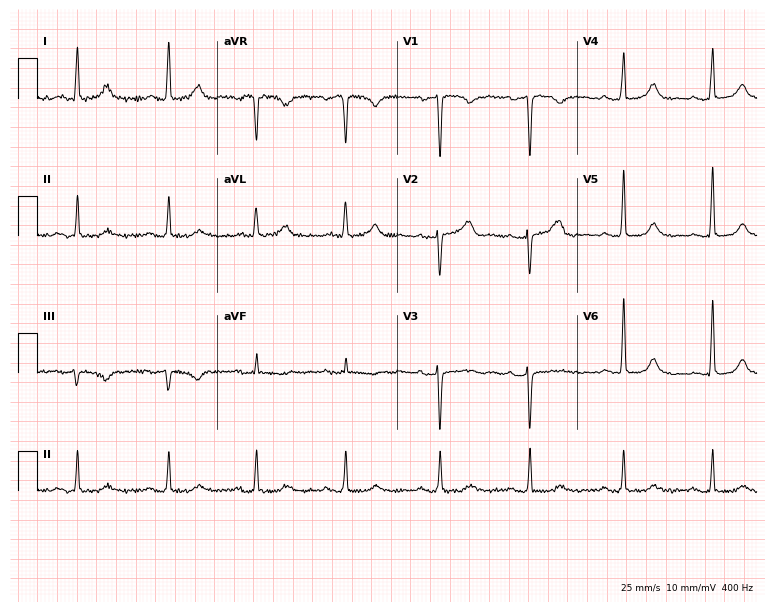
12-lead ECG from a 48-year-old female. No first-degree AV block, right bundle branch block, left bundle branch block, sinus bradycardia, atrial fibrillation or sinus tachycardia recorded for this tracing.